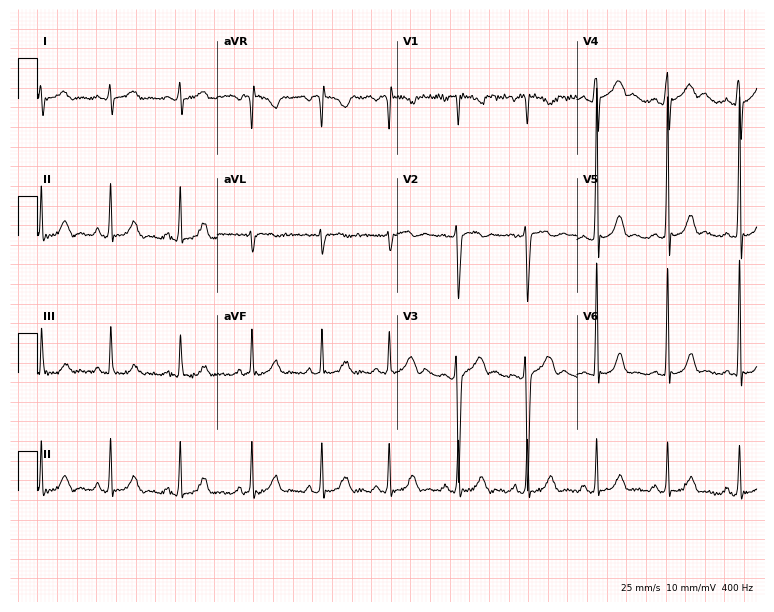
ECG (7.3-second recording at 400 Hz) — a 46-year-old man. Labelled as a normal ECG.